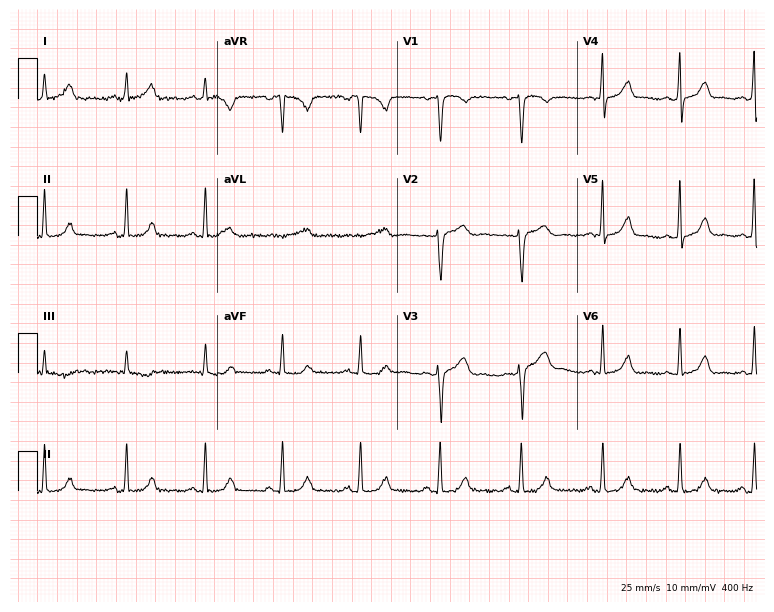
Resting 12-lead electrocardiogram. Patient: a 33-year-old woman. Read as a normal ECG.